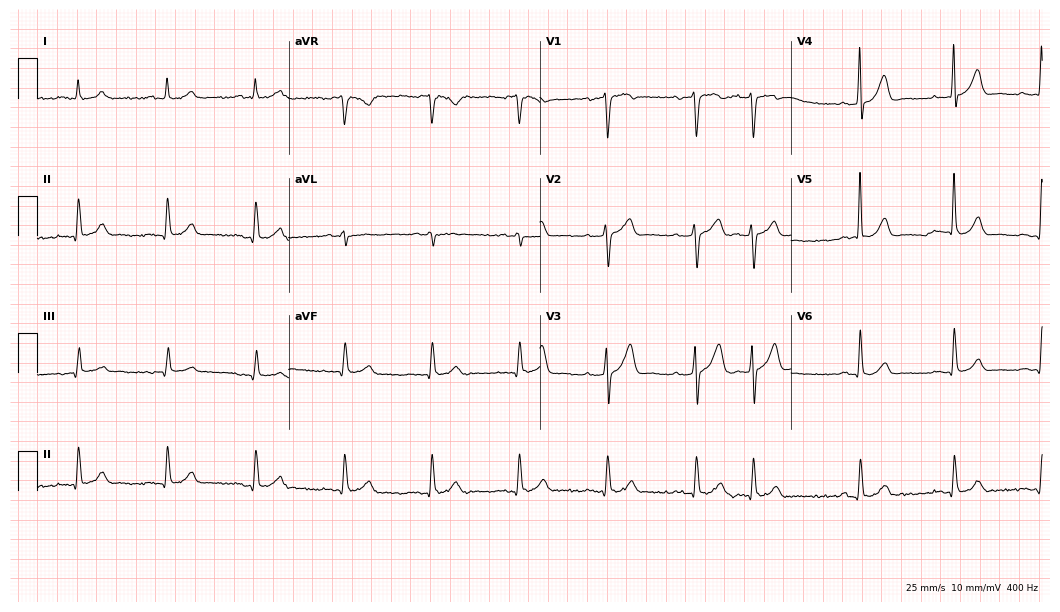
ECG (10.2-second recording at 400 Hz) — a male, 83 years old. Screened for six findings — first-degree AV block, right bundle branch block (RBBB), left bundle branch block (LBBB), sinus bradycardia, atrial fibrillation (AF), sinus tachycardia — none is recorded.